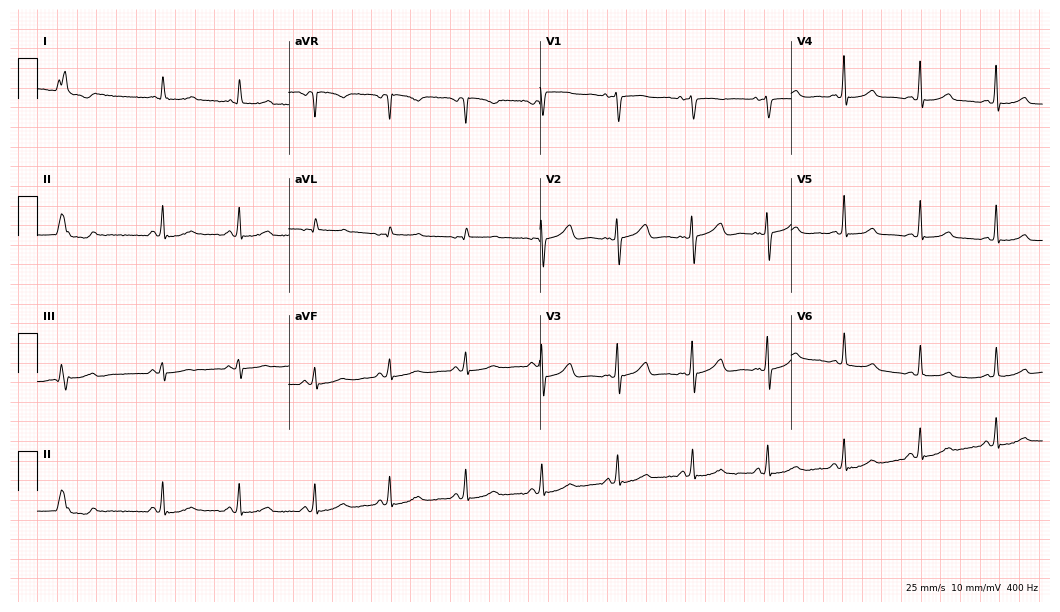
12-lead ECG from a 35-year-old woman. Screened for six findings — first-degree AV block, right bundle branch block (RBBB), left bundle branch block (LBBB), sinus bradycardia, atrial fibrillation (AF), sinus tachycardia — none is recorded. Other findings, if any, are not listed.